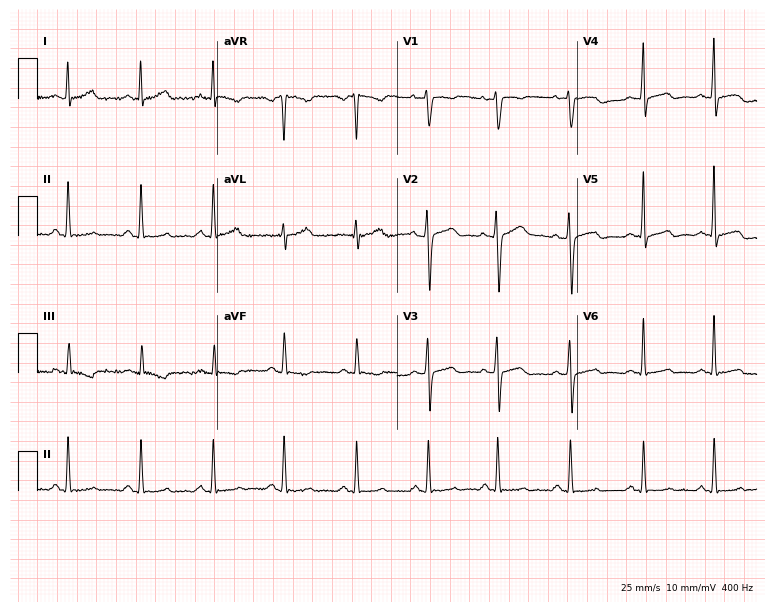
Standard 12-lead ECG recorded from a 29-year-old male. None of these six findings is recorded: first-degree AV block, right bundle branch block (RBBB), left bundle branch block (LBBB), sinus bradycardia, atrial fibrillation (AF), sinus tachycardia.